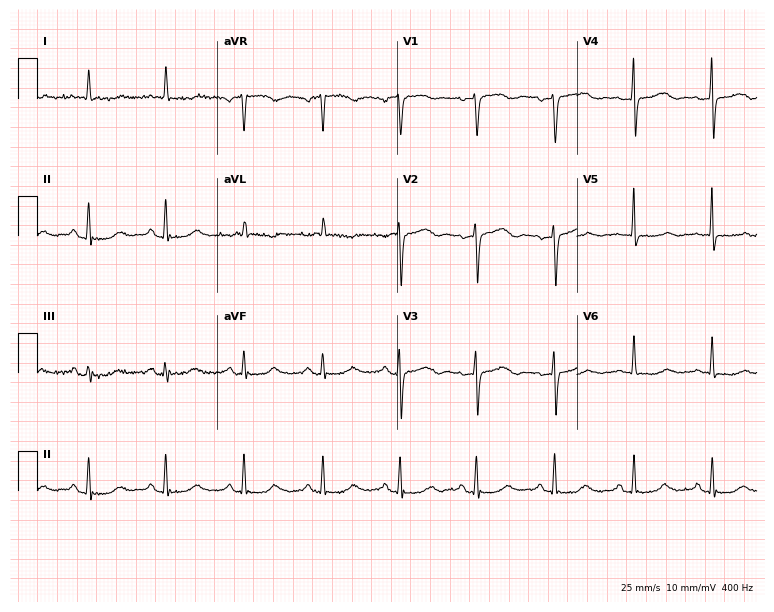
Standard 12-lead ECG recorded from a woman, 72 years old (7.3-second recording at 400 Hz). None of these six findings is recorded: first-degree AV block, right bundle branch block, left bundle branch block, sinus bradycardia, atrial fibrillation, sinus tachycardia.